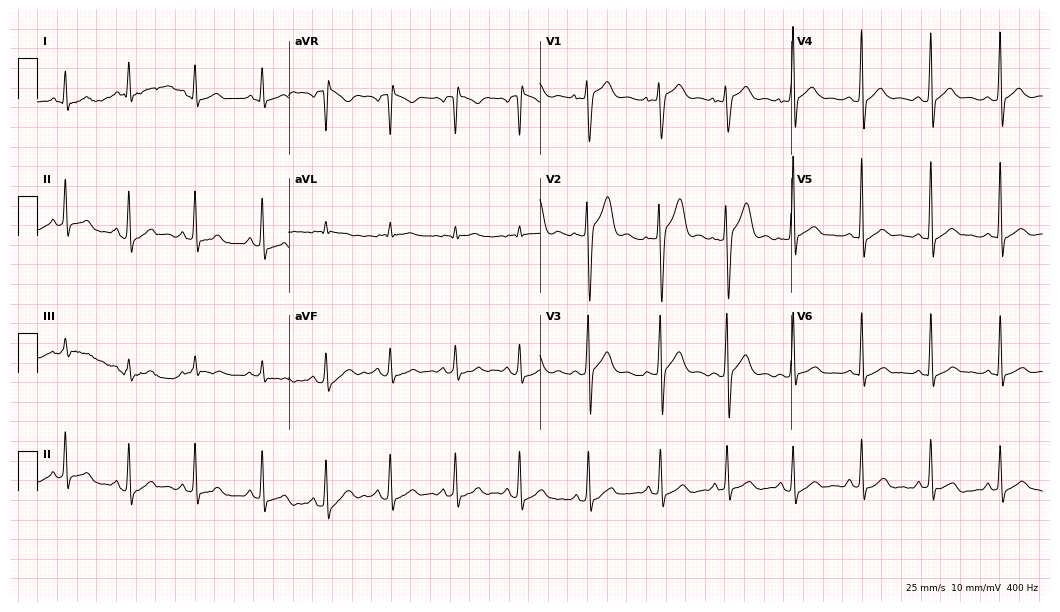
Resting 12-lead electrocardiogram (10.2-second recording at 400 Hz). Patient: a 17-year-old man. Read as a normal ECG.